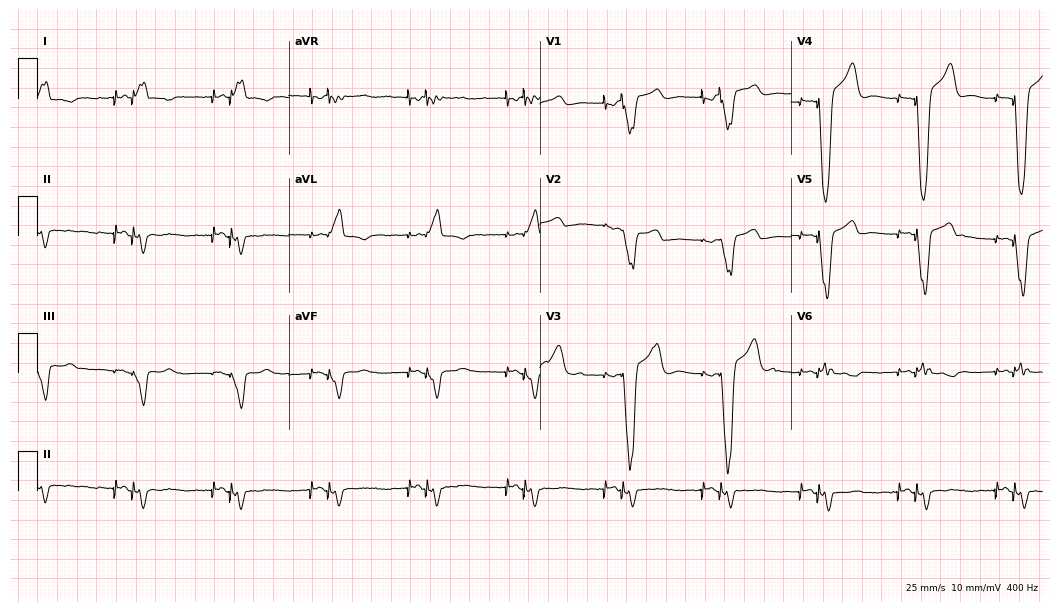
Electrocardiogram (10.2-second recording at 400 Hz), a 73-year-old man. Of the six screened findings (first-degree AV block, right bundle branch block, left bundle branch block, sinus bradycardia, atrial fibrillation, sinus tachycardia), none is recorded. Only these six findings were labelled.